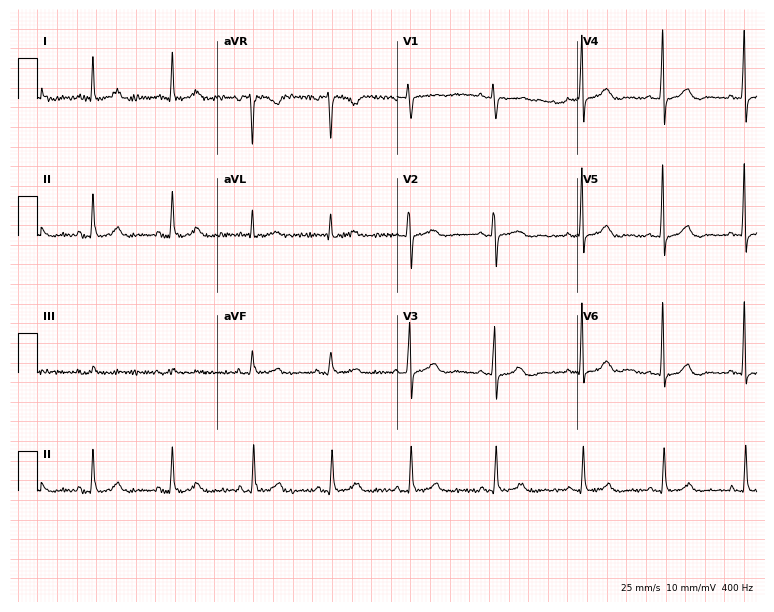
ECG — a female patient, 32 years old. Labelled as a normal ECG.